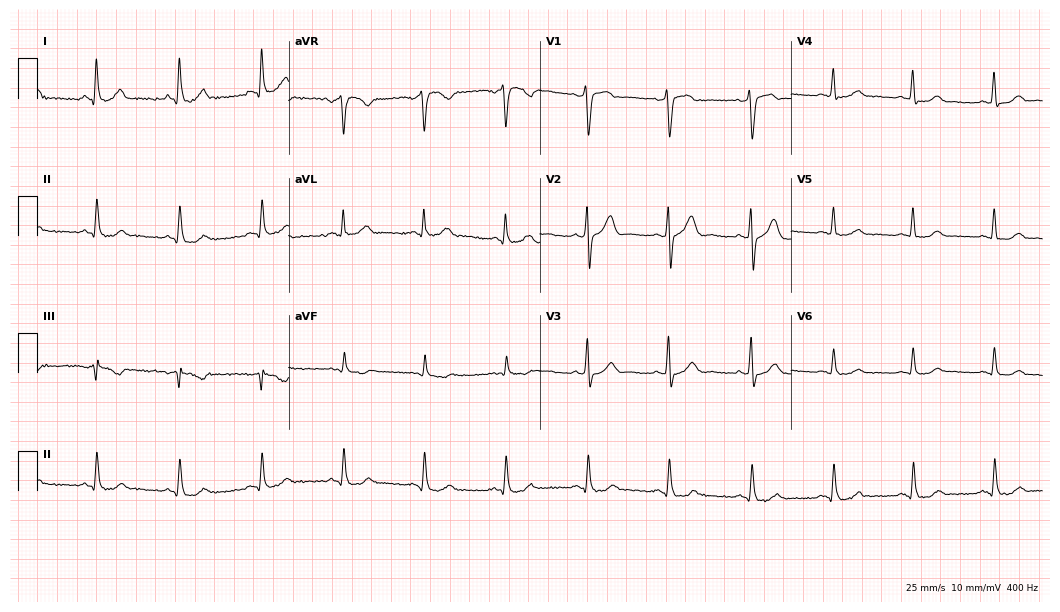
Resting 12-lead electrocardiogram (10.2-second recording at 400 Hz). Patient: a male, 43 years old. Read as a normal ECG.